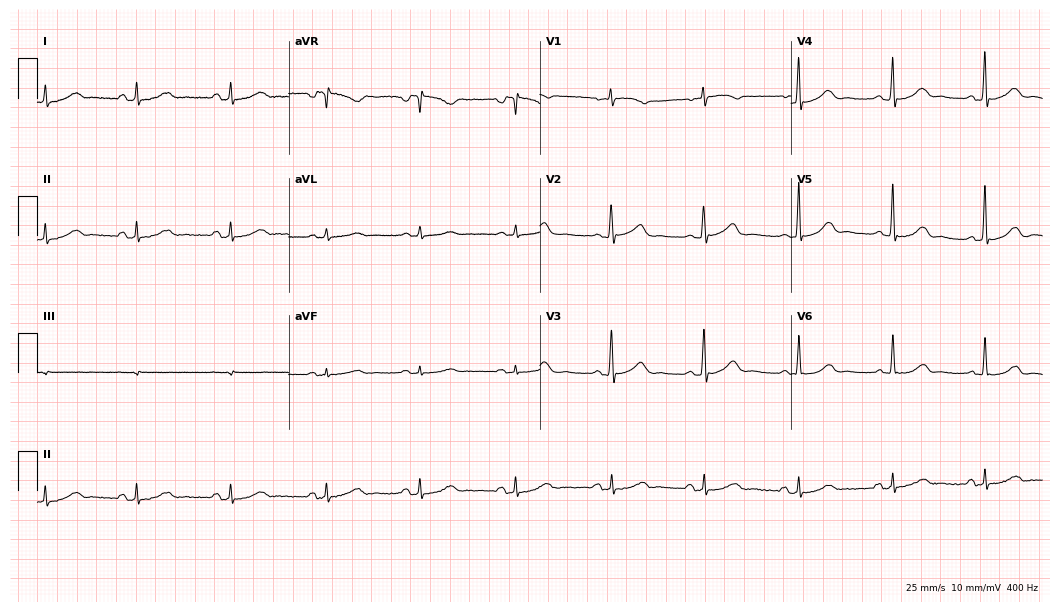
Electrocardiogram, a female patient, 85 years old. Overall reading on record: normal ECG.